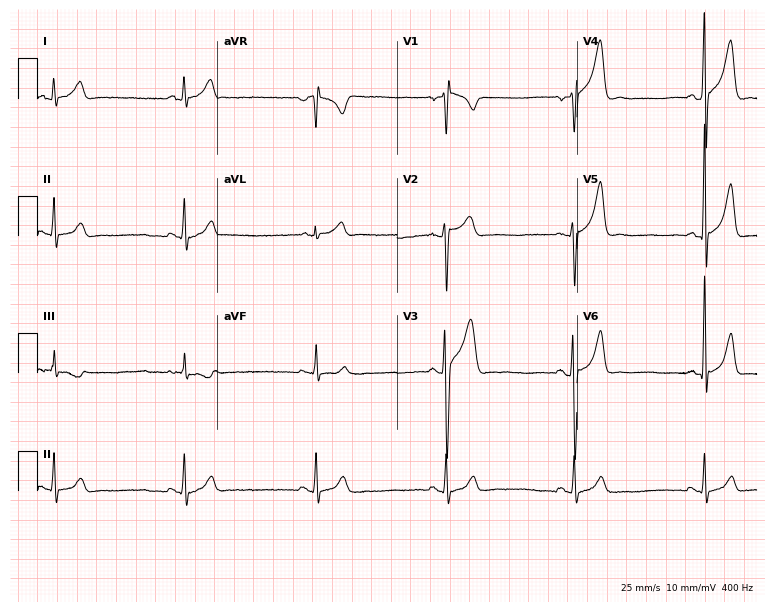
Standard 12-lead ECG recorded from a man, 21 years old (7.3-second recording at 400 Hz). None of these six findings is recorded: first-degree AV block, right bundle branch block (RBBB), left bundle branch block (LBBB), sinus bradycardia, atrial fibrillation (AF), sinus tachycardia.